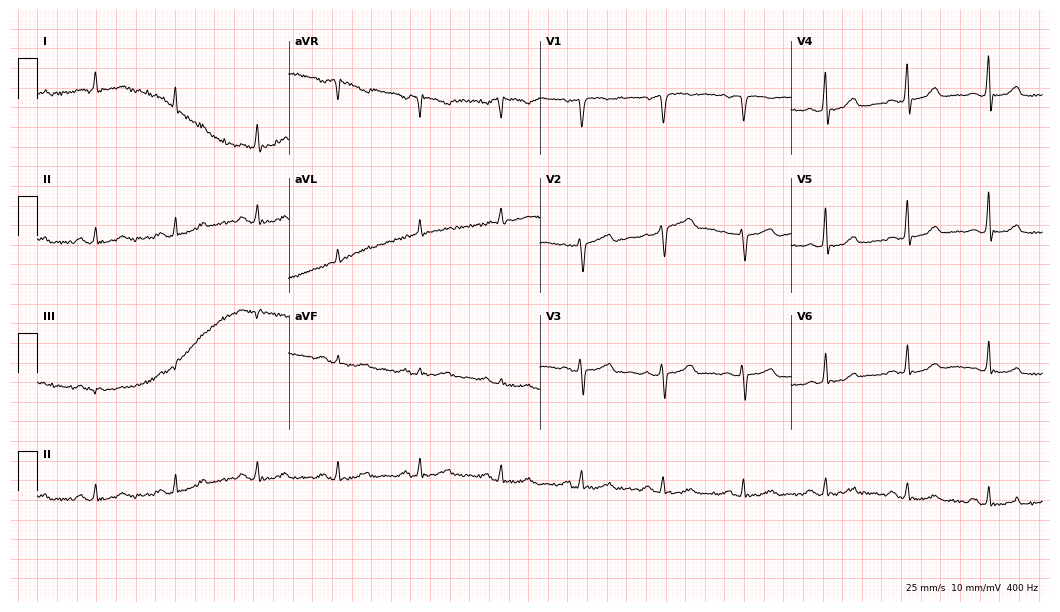
12-lead ECG from a 58-year-old woman. No first-degree AV block, right bundle branch block, left bundle branch block, sinus bradycardia, atrial fibrillation or sinus tachycardia recorded for this tracing.